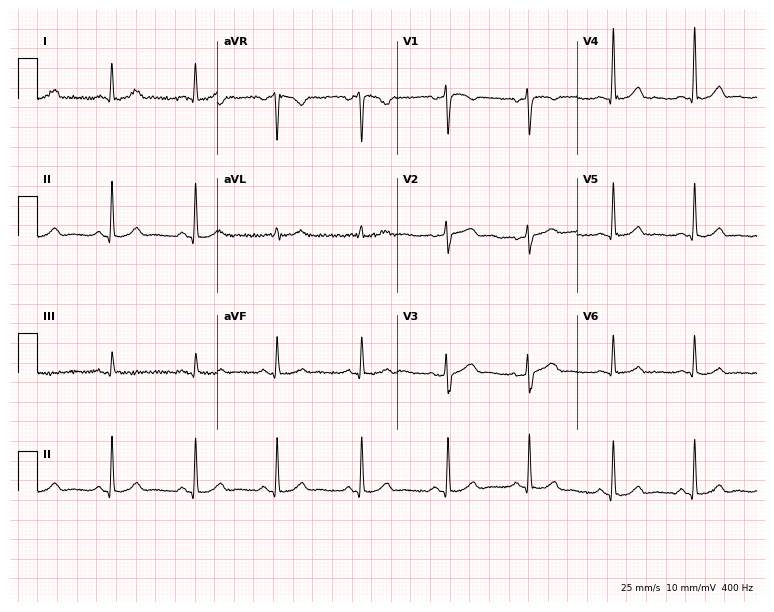
Standard 12-lead ECG recorded from a 44-year-old female patient (7.3-second recording at 400 Hz). Read as a normal ECG.